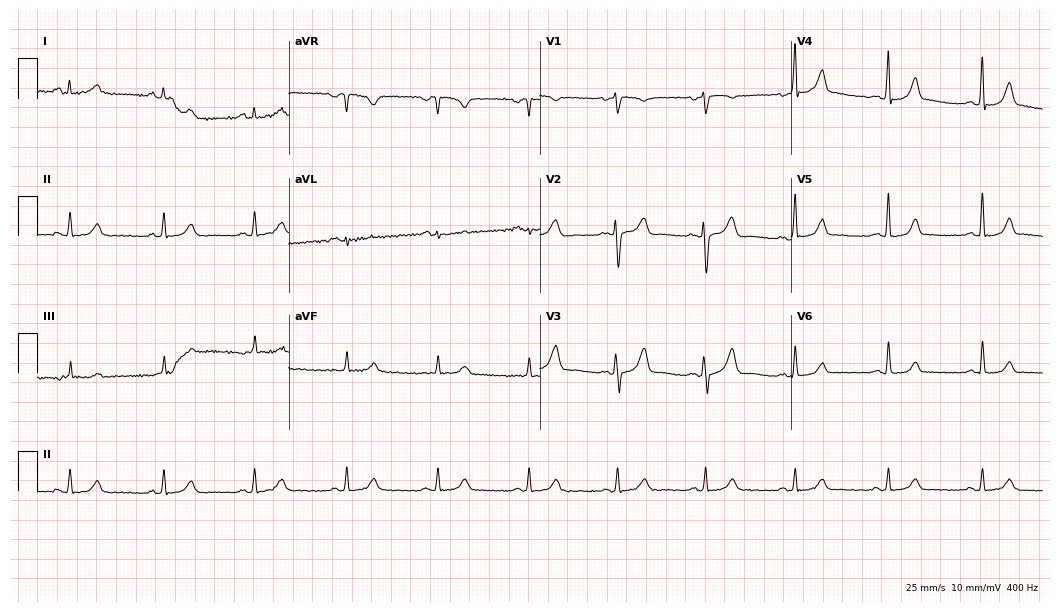
12-lead ECG (10.2-second recording at 400 Hz) from a 30-year-old woman. Labelled as a normal ECG.